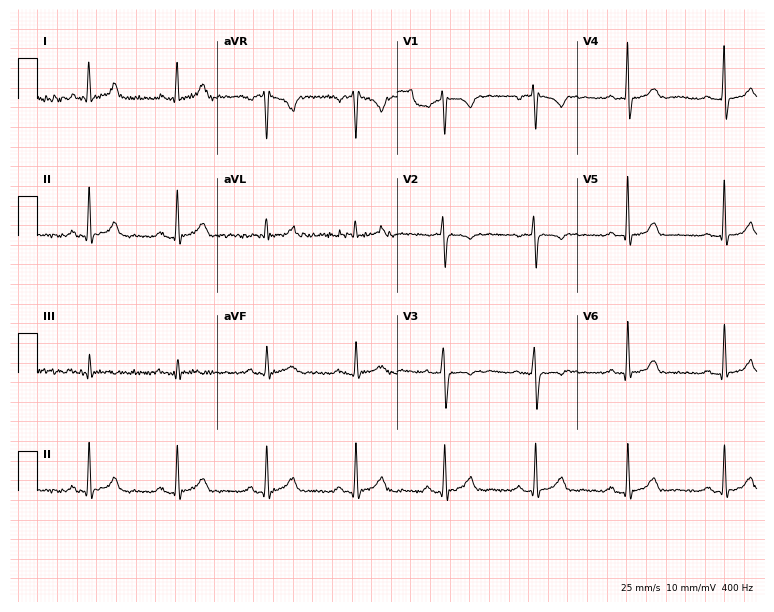
ECG — a 58-year-old woman. Screened for six findings — first-degree AV block, right bundle branch block (RBBB), left bundle branch block (LBBB), sinus bradycardia, atrial fibrillation (AF), sinus tachycardia — none is recorded. Only these six findings were labelled.